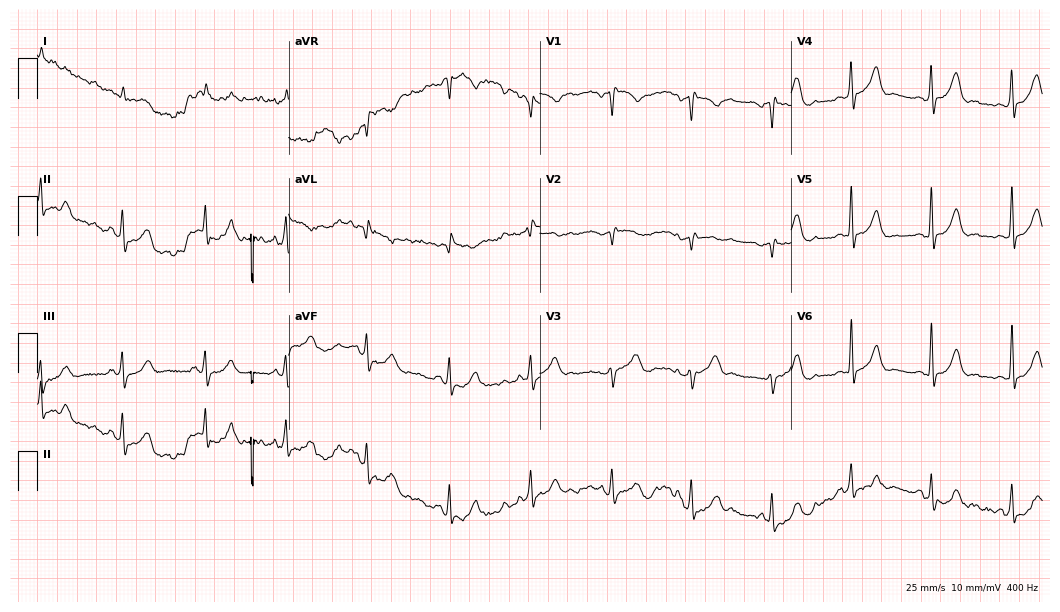
Standard 12-lead ECG recorded from a man, 71 years old. None of these six findings is recorded: first-degree AV block, right bundle branch block, left bundle branch block, sinus bradycardia, atrial fibrillation, sinus tachycardia.